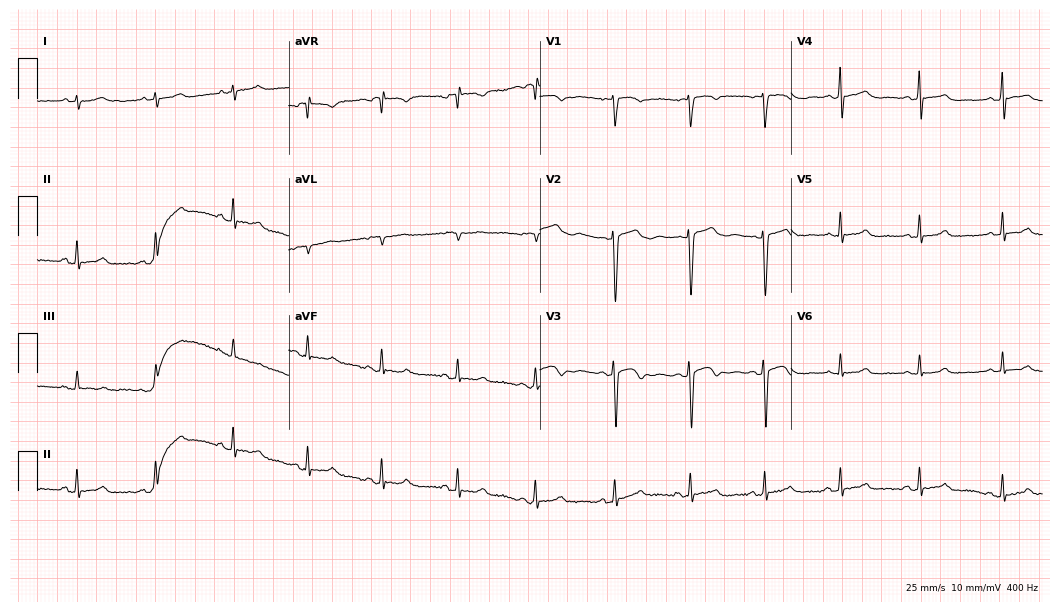
12-lead ECG from a 28-year-old woman. No first-degree AV block, right bundle branch block, left bundle branch block, sinus bradycardia, atrial fibrillation or sinus tachycardia recorded for this tracing.